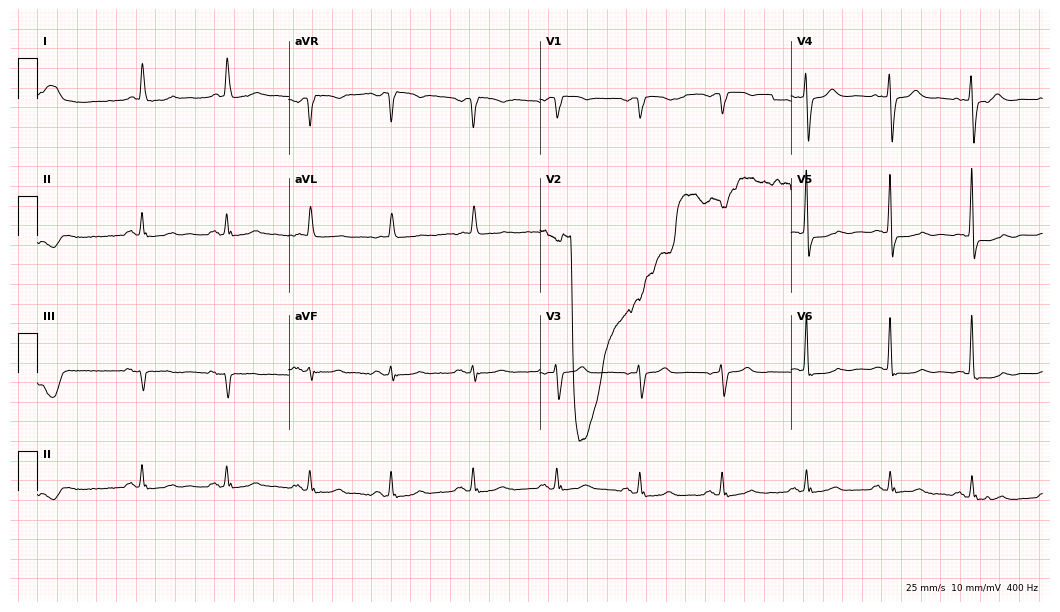
12-lead ECG from an 88-year-old woman (10.2-second recording at 400 Hz). No first-degree AV block, right bundle branch block, left bundle branch block, sinus bradycardia, atrial fibrillation or sinus tachycardia recorded for this tracing. Findings outside these six are not listed.